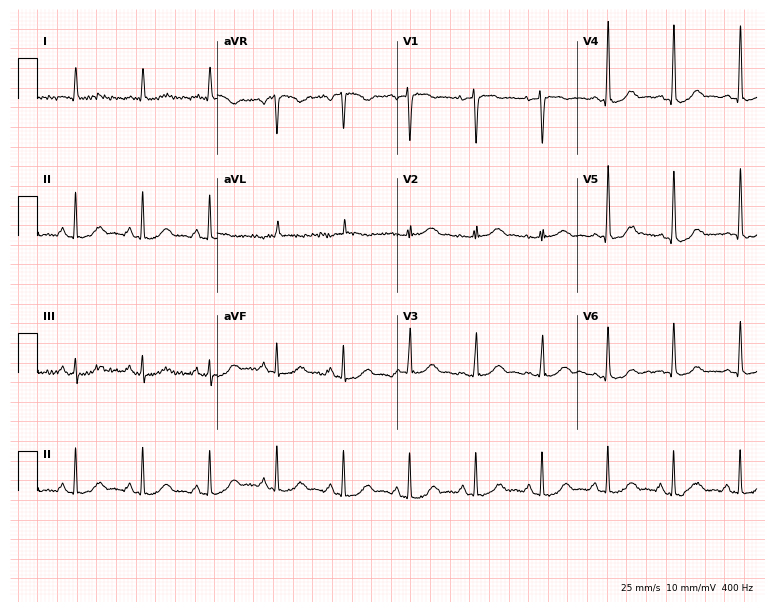
Standard 12-lead ECG recorded from a female, 57 years old. None of these six findings is recorded: first-degree AV block, right bundle branch block, left bundle branch block, sinus bradycardia, atrial fibrillation, sinus tachycardia. Other findings, if any, are not listed.